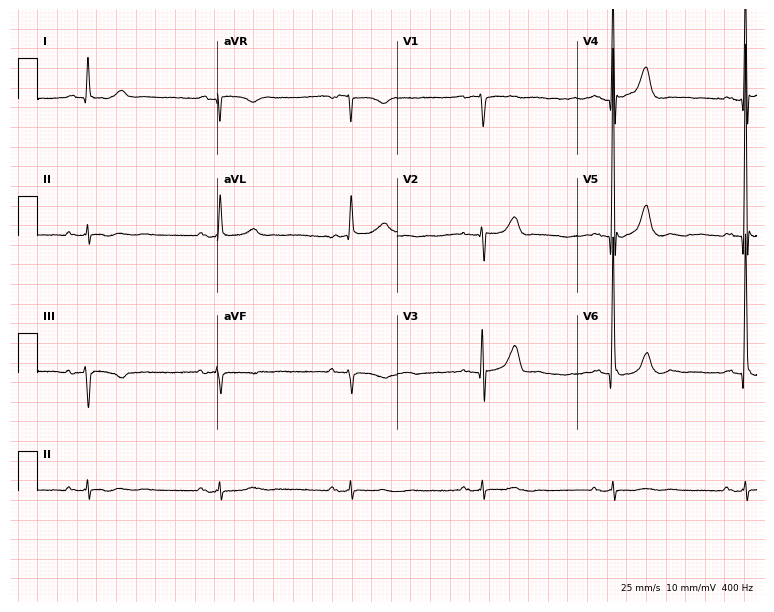
Standard 12-lead ECG recorded from a 79-year-old male patient (7.3-second recording at 400 Hz). The tracing shows sinus bradycardia (a sinus rate of 50 beats per minute or less).